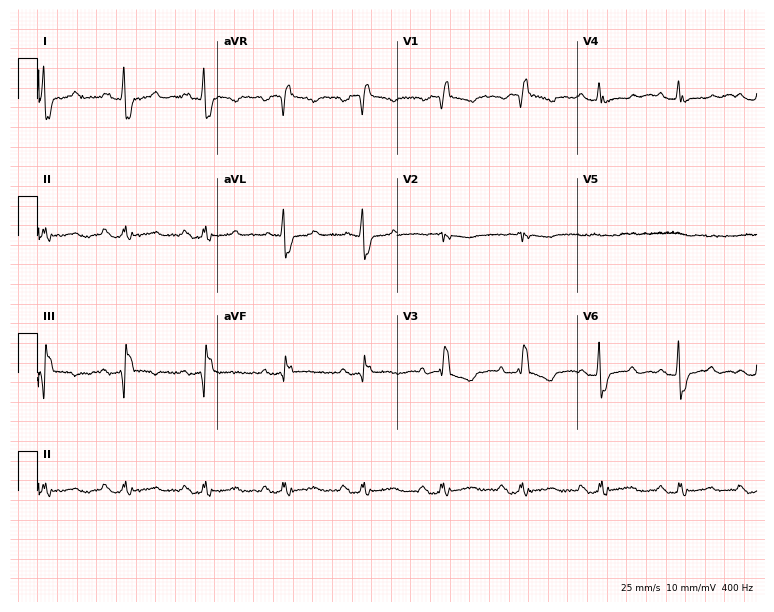
Standard 12-lead ECG recorded from a 64-year-old female patient. The tracing shows right bundle branch block.